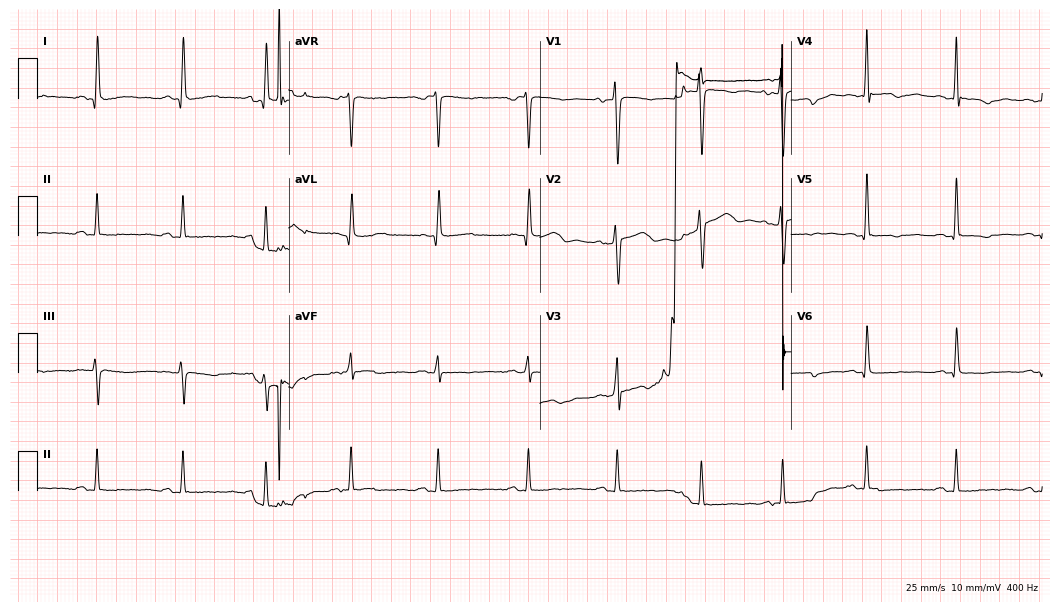
Electrocardiogram, a 33-year-old female. Of the six screened findings (first-degree AV block, right bundle branch block (RBBB), left bundle branch block (LBBB), sinus bradycardia, atrial fibrillation (AF), sinus tachycardia), none is recorded.